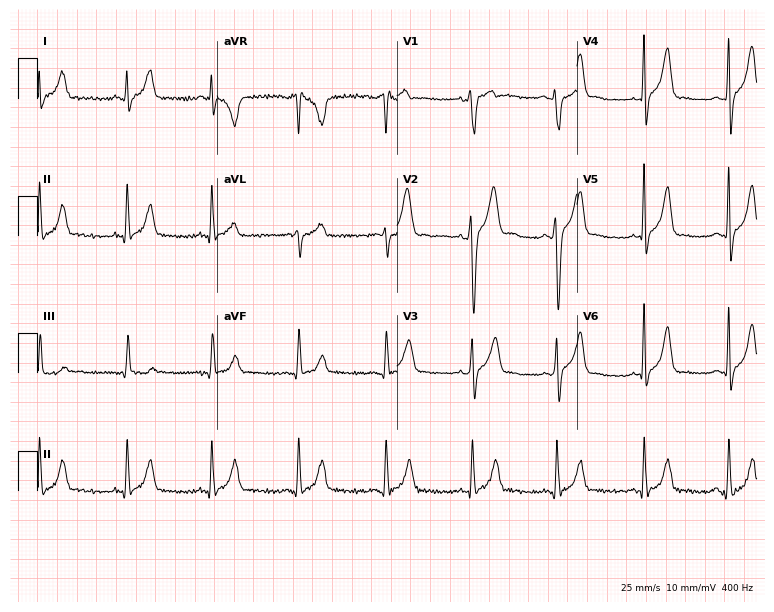
Standard 12-lead ECG recorded from a man, 25 years old. None of these six findings is recorded: first-degree AV block, right bundle branch block, left bundle branch block, sinus bradycardia, atrial fibrillation, sinus tachycardia.